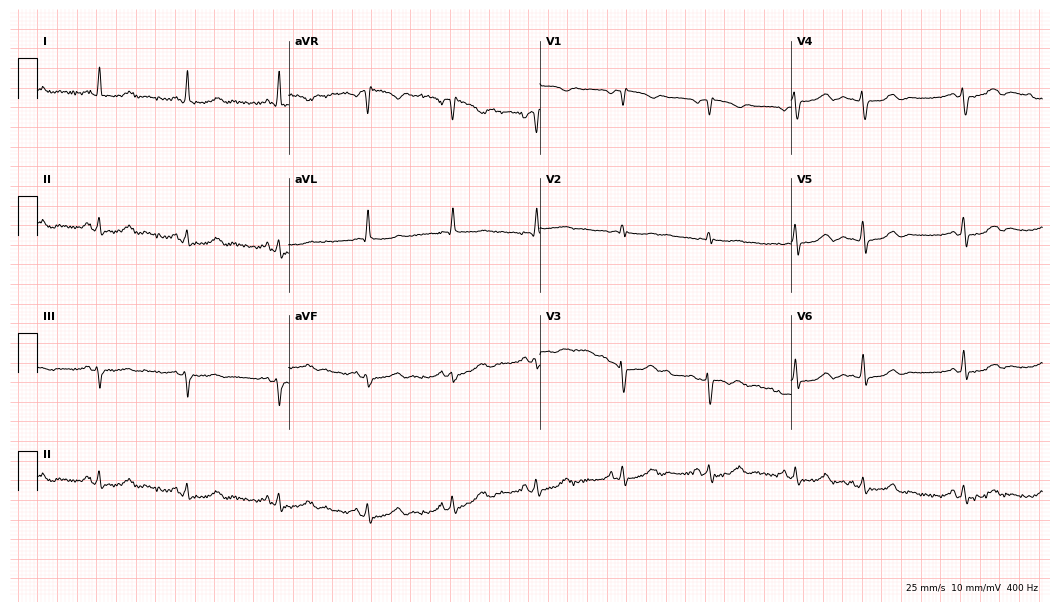
12-lead ECG from a woman, 85 years old. Recorded interpretation: within normal limits.